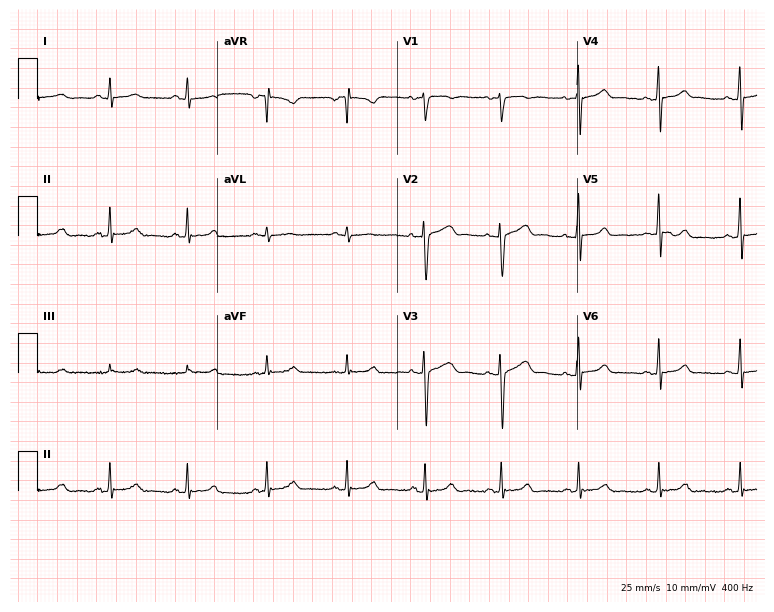
Resting 12-lead electrocardiogram (7.3-second recording at 400 Hz). Patient: a 20-year-old female. None of these six findings is recorded: first-degree AV block, right bundle branch block, left bundle branch block, sinus bradycardia, atrial fibrillation, sinus tachycardia. Only these six findings were labelled.